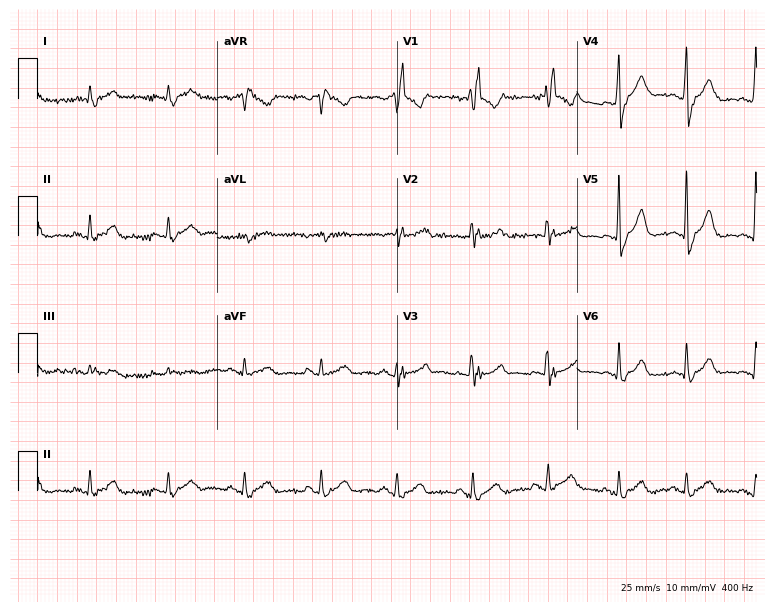
Resting 12-lead electrocardiogram. Patient: a woman, 73 years old. None of these six findings is recorded: first-degree AV block, right bundle branch block, left bundle branch block, sinus bradycardia, atrial fibrillation, sinus tachycardia. Only these six findings were labelled.